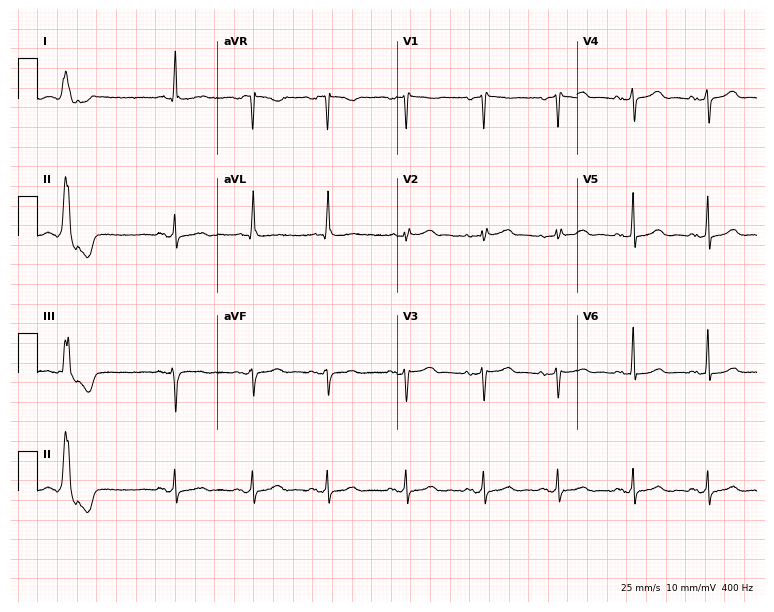
ECG — a female patient, 78 years old. Screened for six findings — first-degree AV block, right bundle branch block (RBBB), left bundle branch block (LBBB), sinus bradycardia, atrial fibrillation (AF), sinus tachycardia — none is recorded.